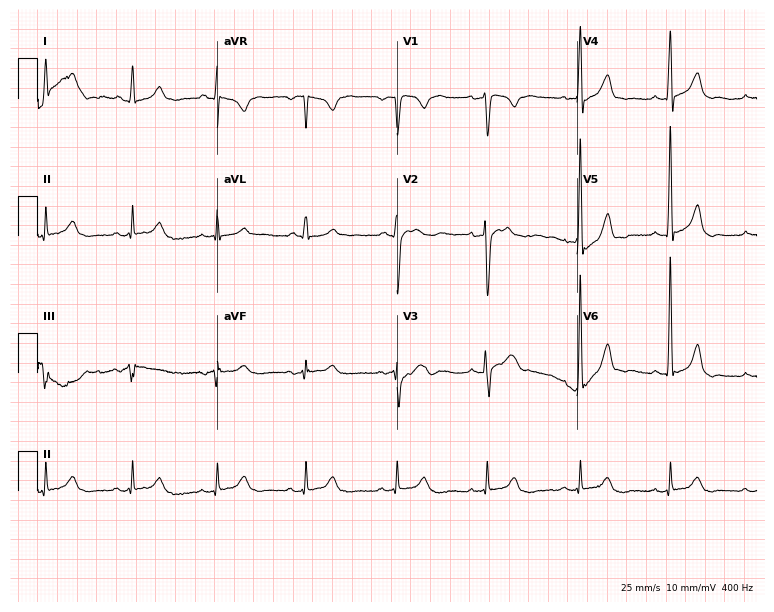
Resting 12-lead electrocardiogram. Patient: a 50-year-old male. None of these six findings is recorded: first-degree AV block, right bundle branch block, left bundle branch block, sinus bradycardia, atrial fibrillation, sinus tachycardia. Findings outside these six are not listed.